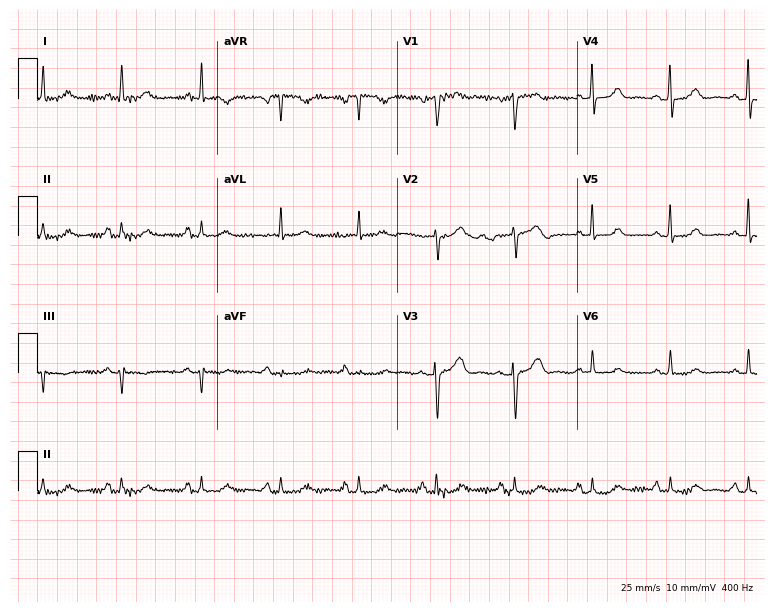
Resting 12-lead electrocardiogram. Patient: a woman, 70 years old. Read as a normal ECG.